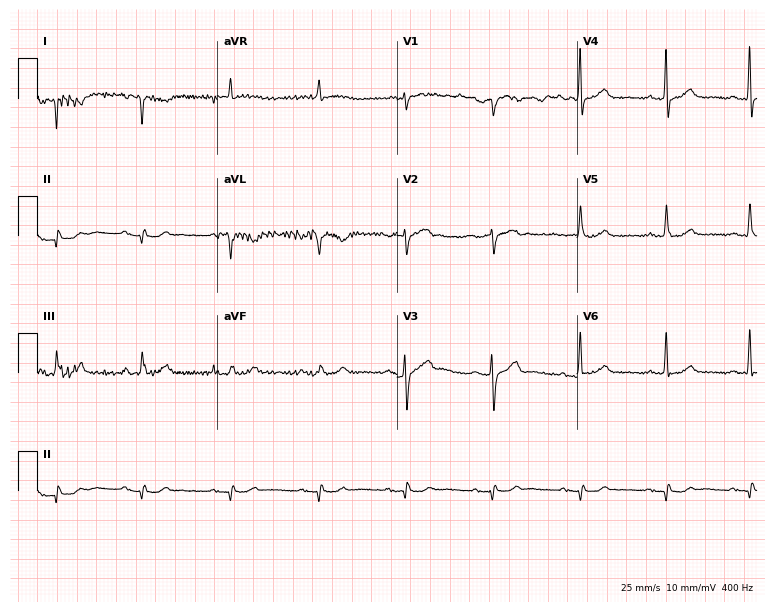
ECG (7.3-second recording at 400 Hz) — a 74-year-old male. Screened for six findings — first-degree AV block, right bundle branch block, left bundle branch block, sinus bradycardia, atrial fibrillation, sinus tachycardia — none is recorded. Other findings, if any, are not listed.